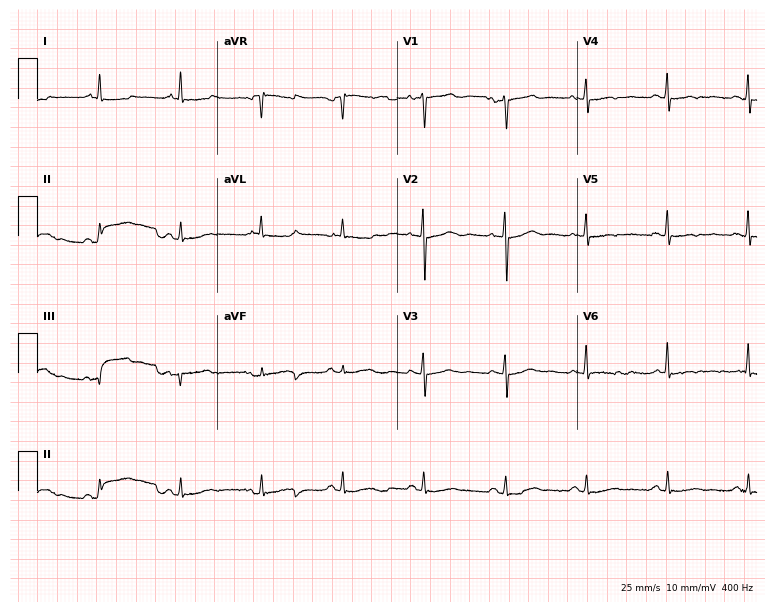
12-lead ECG (7.3-second recording at 400 Hz) from a 64-year-old female patient. Screened for six findings — first-degree AV block, right bundle branch block (RBBB), left bundle branch block (LBBB), sinus bradycardia, atrial fibrillation (AF), sinus tachycardia — none is recorded. Findings outside these six are not listed.